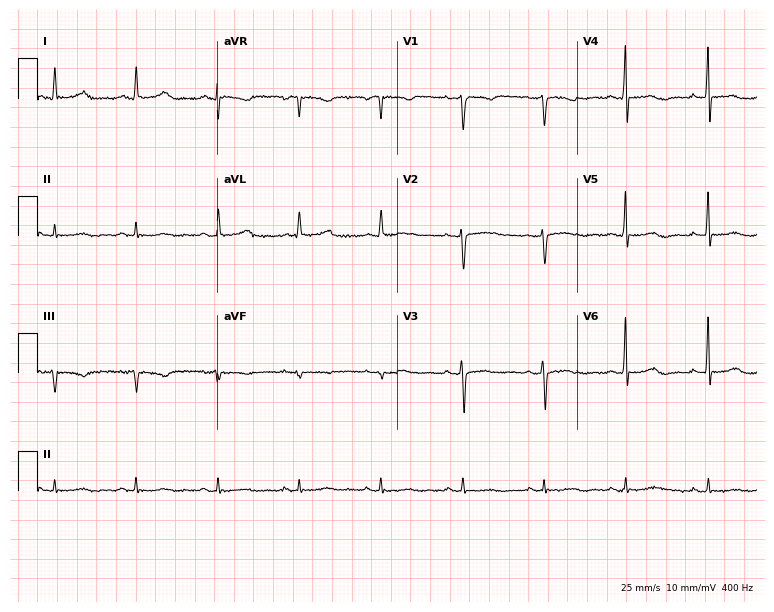
Resting 12-lead electrocardiogram (7.3-second recording at 400 Hz). Patient: a 55-year-old woman. None of these six findings is recorded: first-degree AV block, right bundle branch block, left bundle branch block, sinus bradycardia, atrial fibrillation, sinus tachycardia.